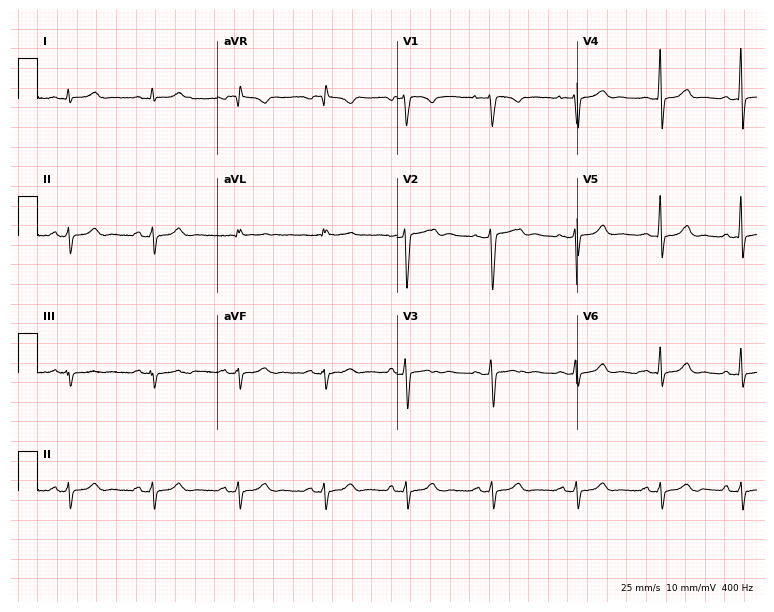
12-lead ECG (7.3-second recording at 400 Hz) from a 29-year-old female. Screened for six findings — first-degree AV block, right bundle branch block, left bundle branch block, sinus bradycardia, atrial fibrillation, sinus tachycardia — none is recorded. Other findings, if any, are not listed.